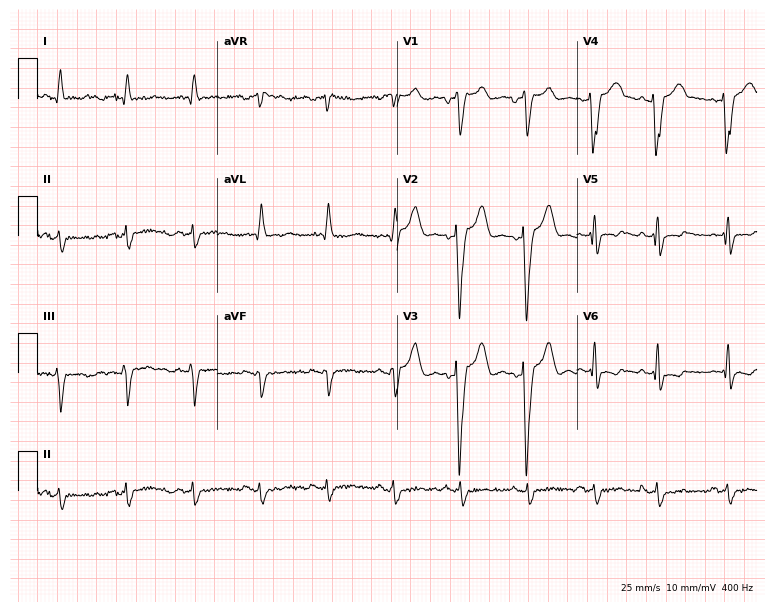
12-lead ECG from a male, 65 years old. Shows left bundle branch block (LBBB).